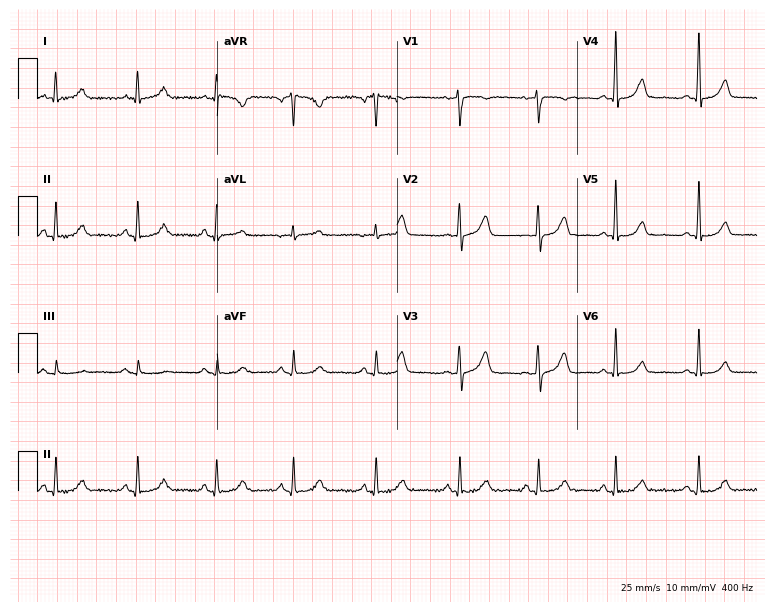
Resting 12-lead electrocardiogram (7.3-second recording at 400 Hz). Patient: a woman, 41 years old. Read as a normal ECG.